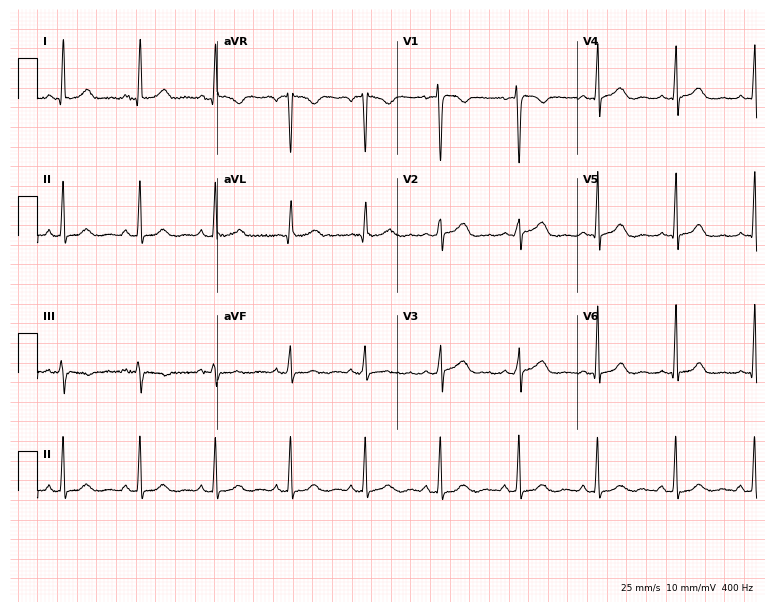
Electrocardiogram (7.3-second recording at 400 Hz), a woman, 36 years old. Overall reading on record: normal ECG.